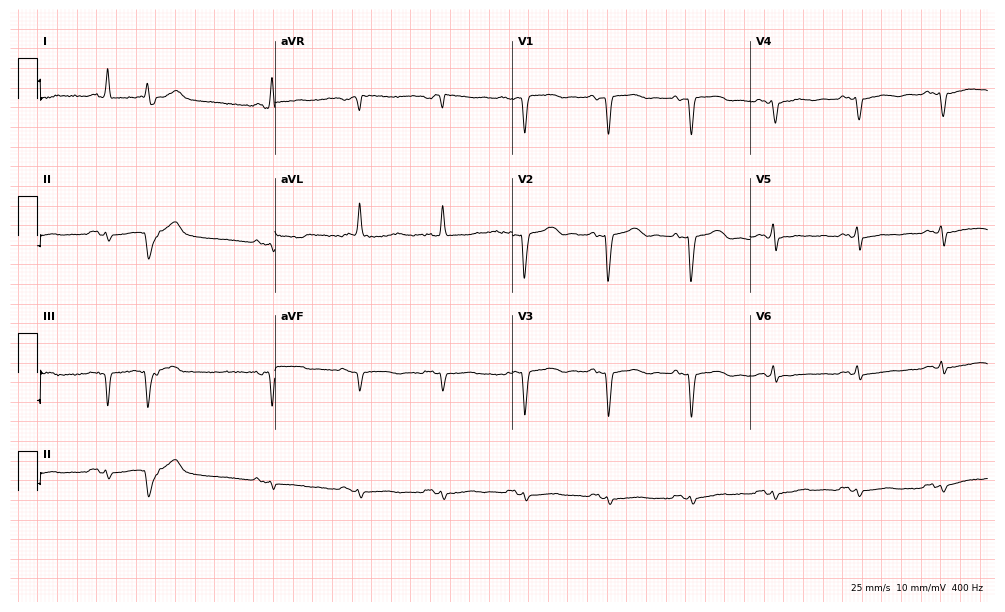
Standard 12-lead ECG recorded from a female patient, 76 years old. None of these six findings is recorded: first-degree AV block, right bundle branch block, left bundle branch block, sinus bradycardia, atrial fibrillation, sinus tachycardia.